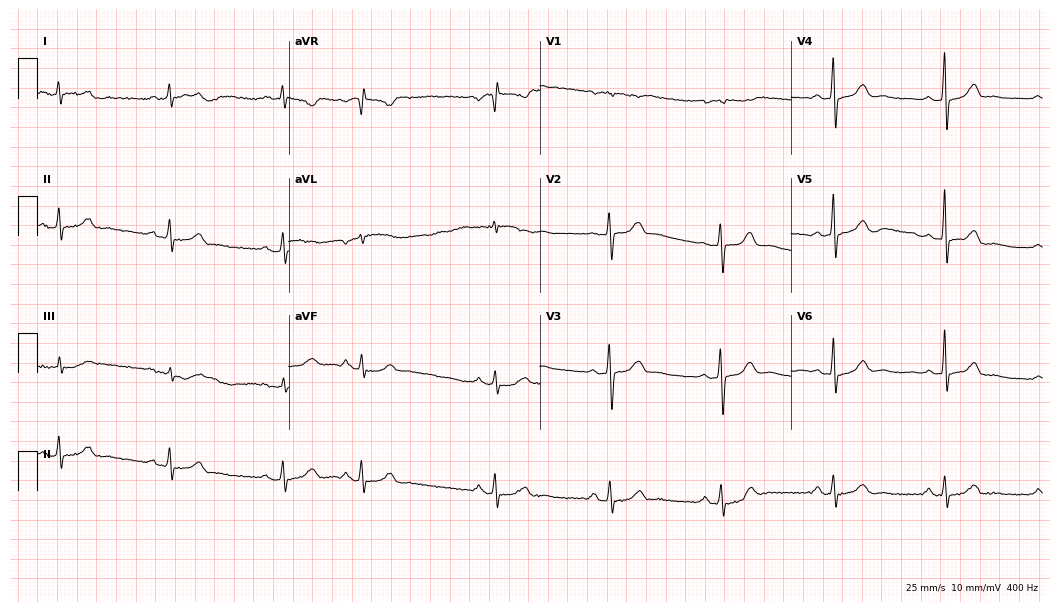
Resting 12-lead electrocardiogram (10.2-second recording at 400 Hz). Patient: a male, 68 years old. None of these six findings is recorded: first-degree AV block, right bundle branch block, left bundle branch block, sinus bradycardia, atrial fibrillation, sinus tachycardia.